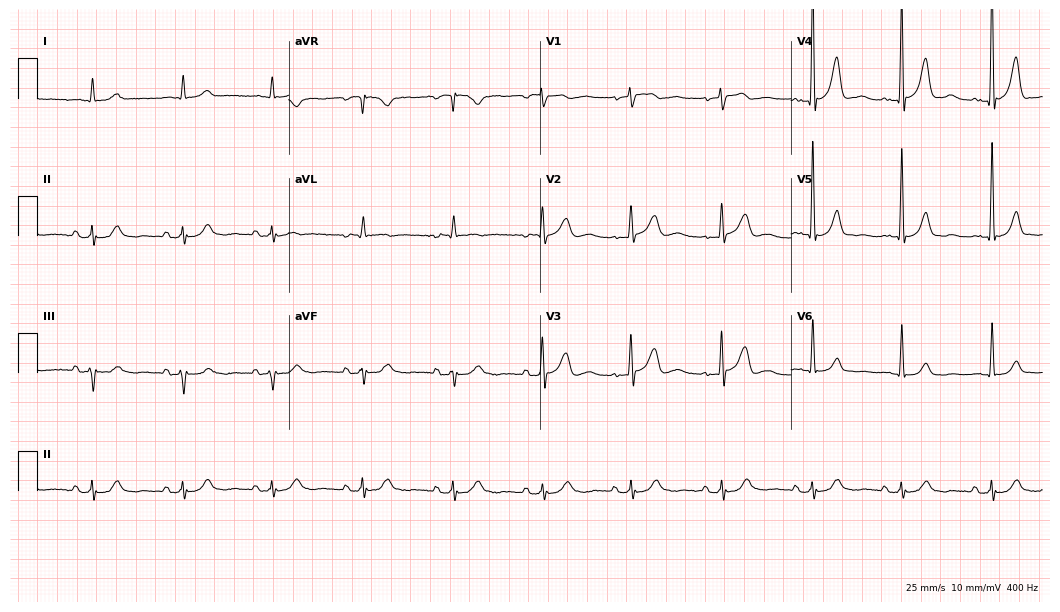
Standard 12-lead ECG recorded from a male, 85 years old (10.2-second recording at 400 Hz). Read as a normal ECG.